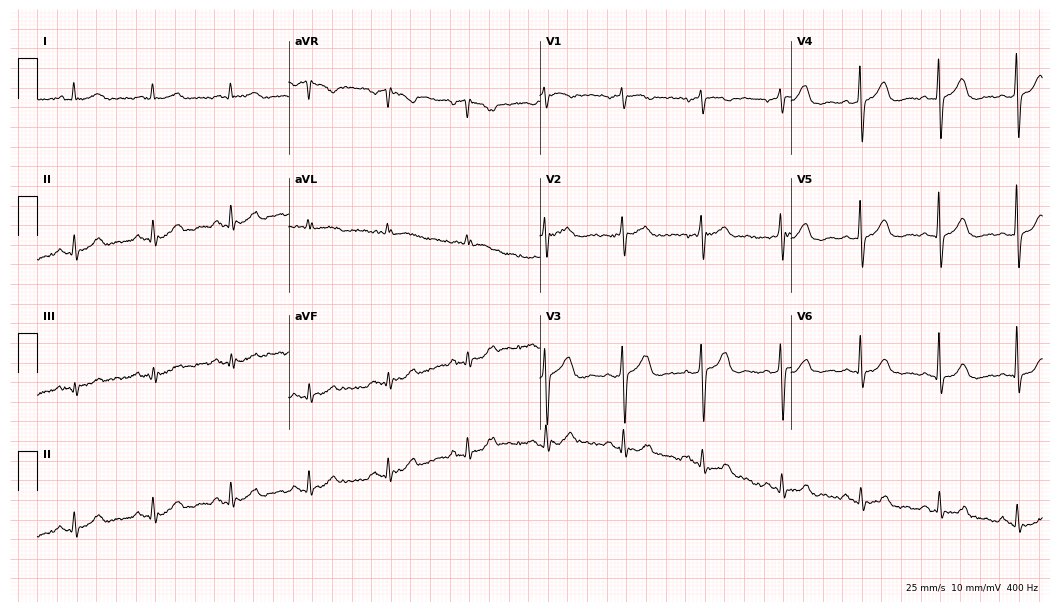
ECG — a male patient, 84 years old. Labelled as a normal ECG.